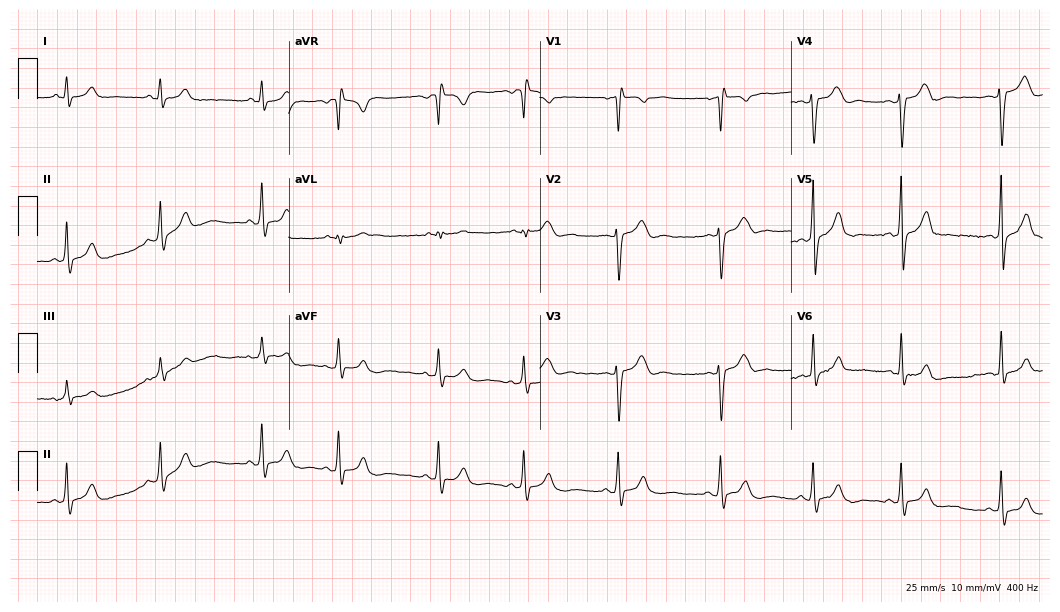
Electrocardiogram (10.2-second recording at 400 Hz), an 18-year-old male patient. Overall reading on record: normal ECG.